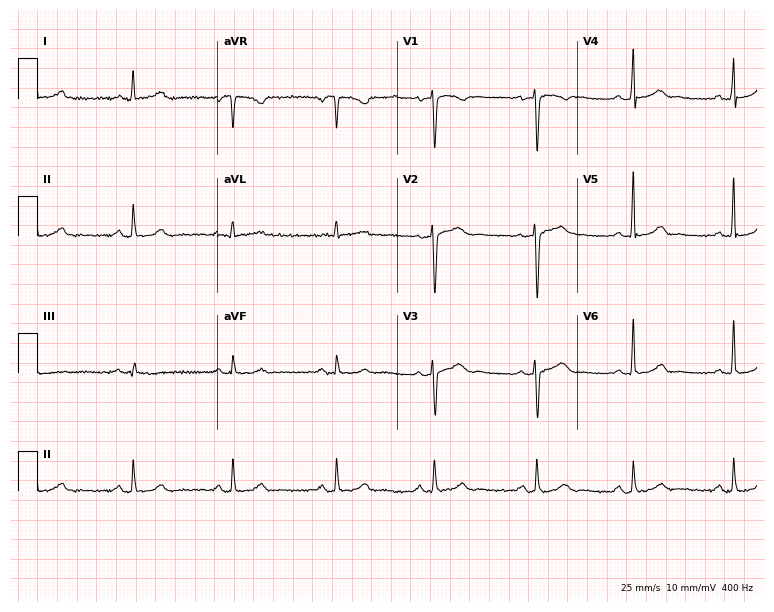
Standard 12-lead ECG recorded from a 36-year-old female patient (7.3-second recording at 400 Hz). Read as a normal ECG.